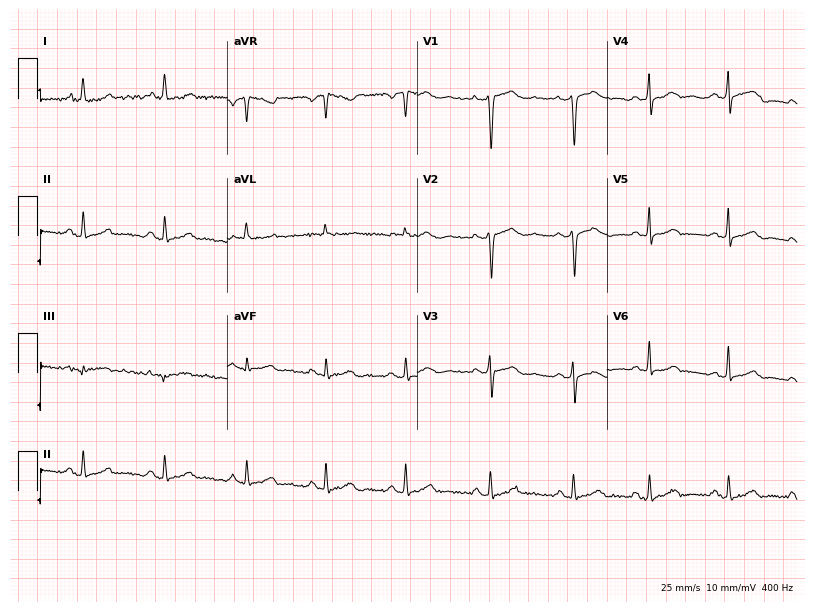
Standard 12-lead ECG recorded from a 30-year-old female (7.7-second recording at 400 Hz). Read as a normal ECG.